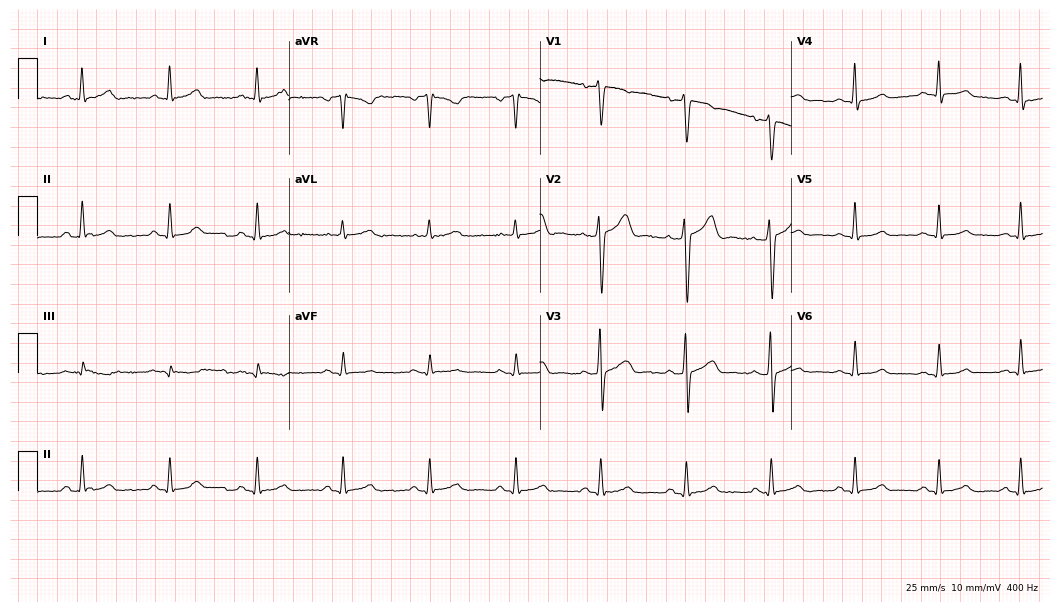
Electrocardiogram, a 36-year-old male patient. Overall reading on record: normal ECG.